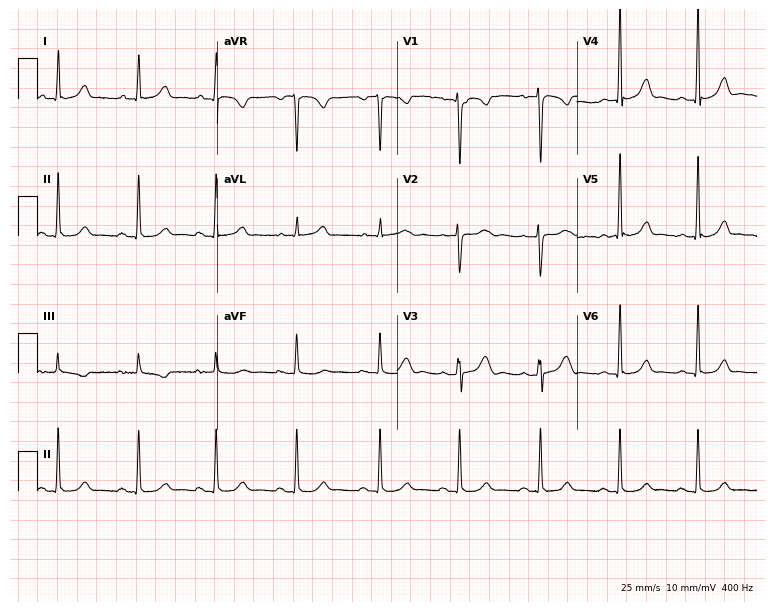
Standard 12-lead ECG recorded from a female patient, 25 years old (7.3-second recording at 400 Hz). Read as a normal ECG.